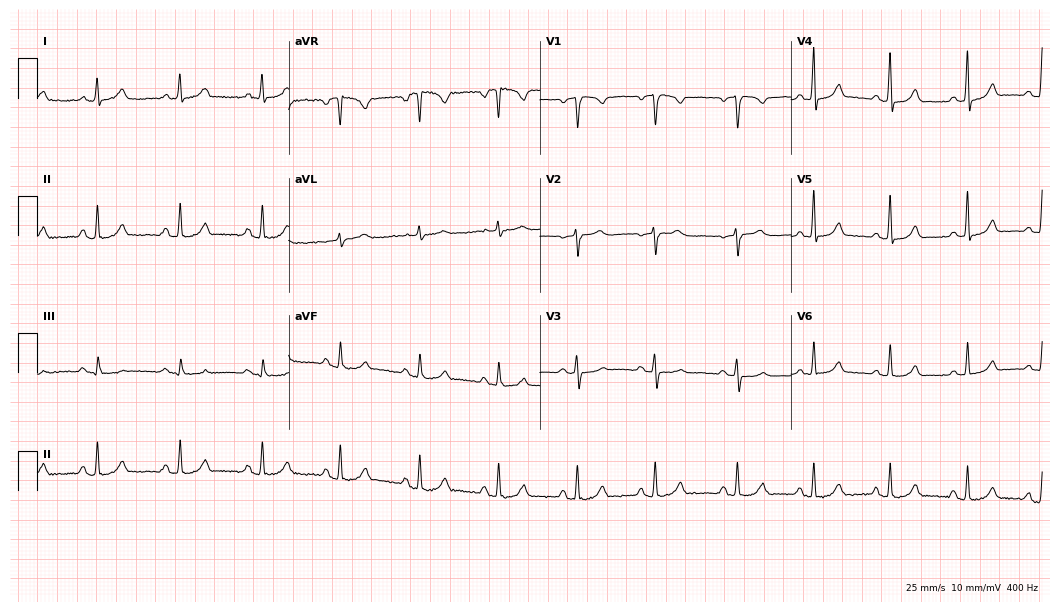
Electrocardiogram (10.2-second recording at 400 Hz), a 44-year-old woman. Of the six screened findings (first-degree AV block, right bundle branch block, left bundle branch block, sinus bradycardia, atrial fibrillation, sinus tachycardia), none is recorded. Only these six findings were labelled.